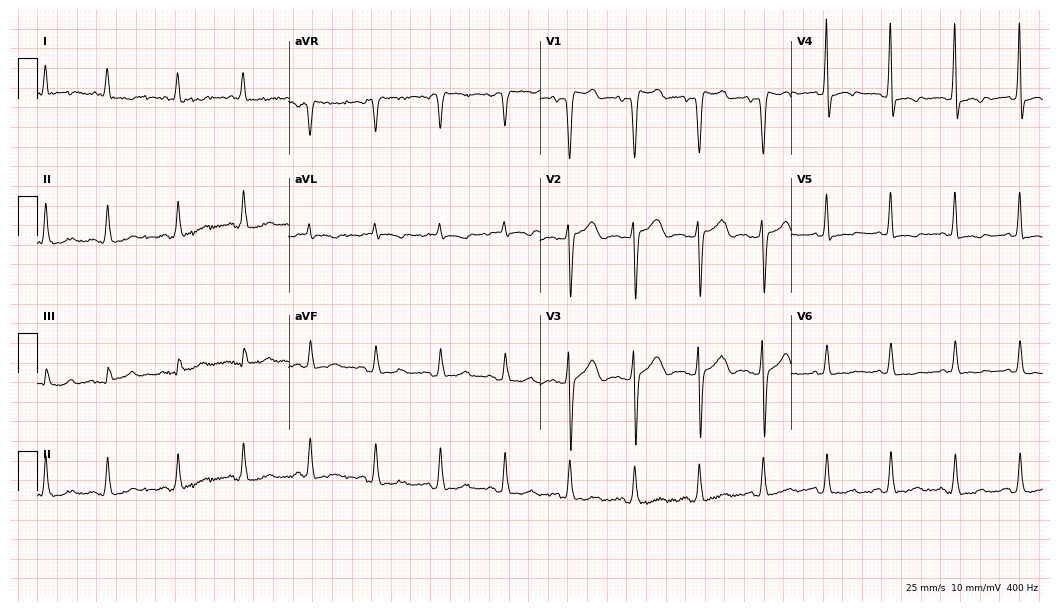
12-lead ECG from an 82-year-old woman. Screened for six findings — first-degree AV block, right bundle branch block, left bundle branch block, sinus bradycardia, atrial fibrillation, sinus tachycardia — none is recorded.